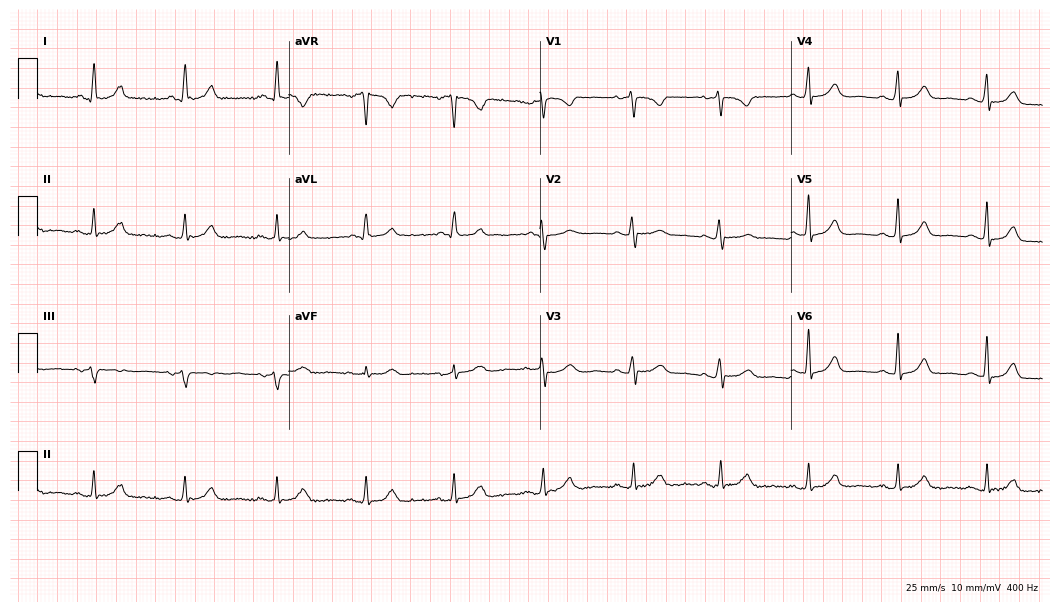
Electrocardiogram, a 61-year-old female. Overall reading on record: normal ECG.